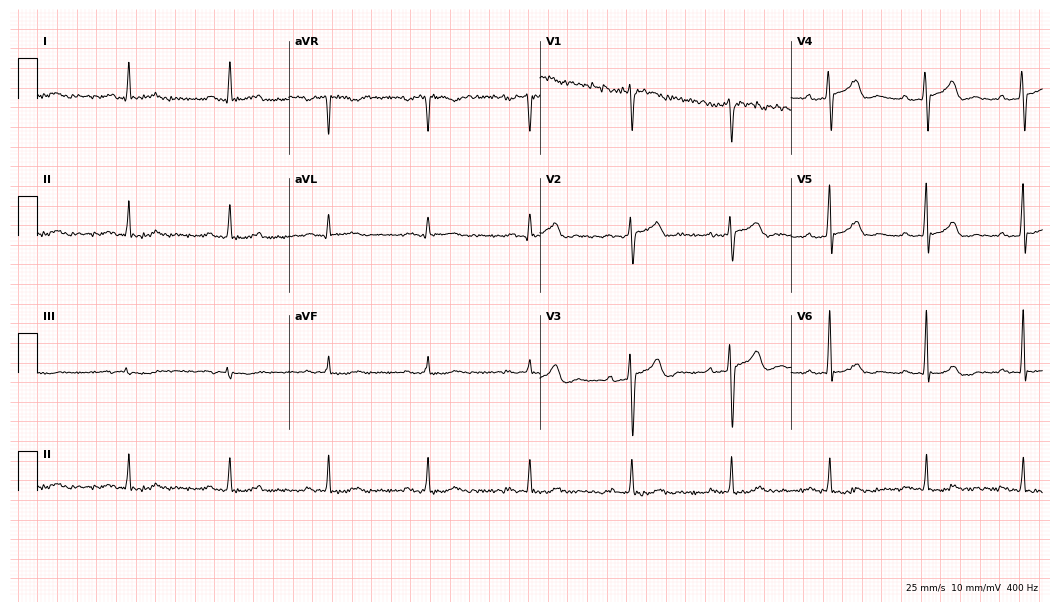
ECG (10.2-second recording at 400 Hz) — a man, 52 years old. Screened for six findings — first-degree AV block, right bundle branch block, left bundle branch block, sinus bradycardia, atrial fibrillation, sinus tachycardia — none is recorded.